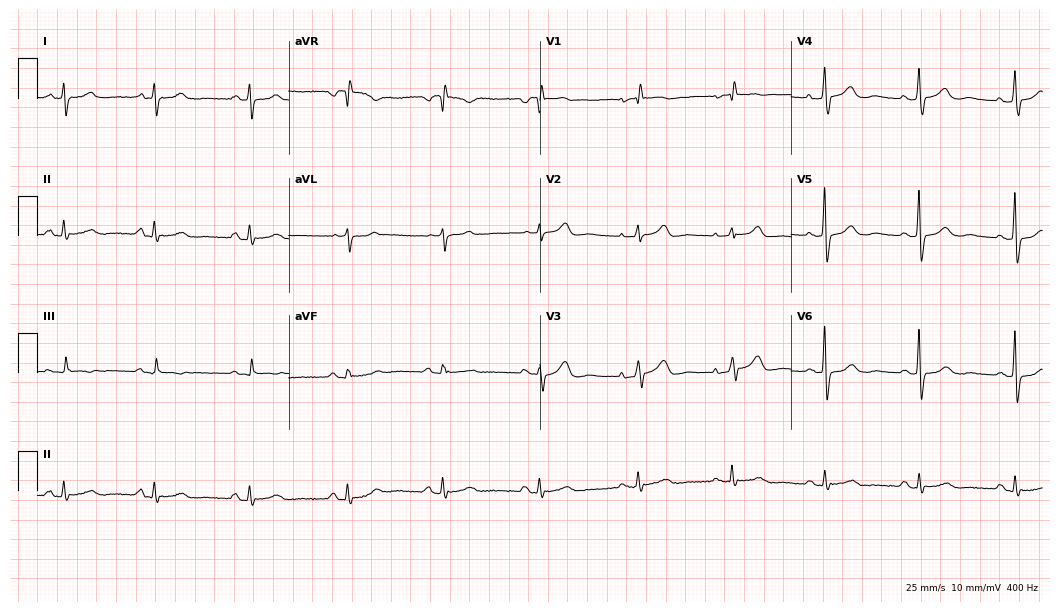
Resting 12-lead electrocardiogram (10.2-second recording at 400 Hz). Patient: a female, 69 years old. None of these six findings is recorded: first-degree AV block, right bundle branch block, left bundle branch block, sinus bradycardia, atrial fibrillation, sinus tachycardia. Findings outside these six are not listed.